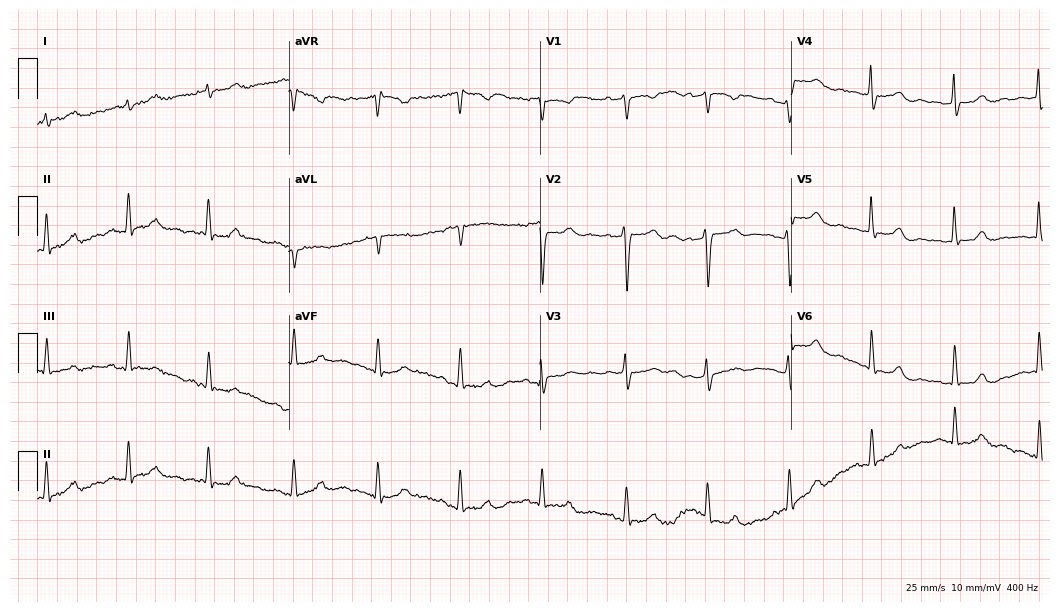
Electrocardiogram (10.2-second recording at 400 Hz), a 78-year-old woman. Of the six screened findings (first-degree AV block, right bundle branch block (RBBB), left bundle branch block (LBBB), sinus bradycardia, atrial fibrillation (AF), sinus tachycardia), none is recorded. Other findings, if any, are not listed.